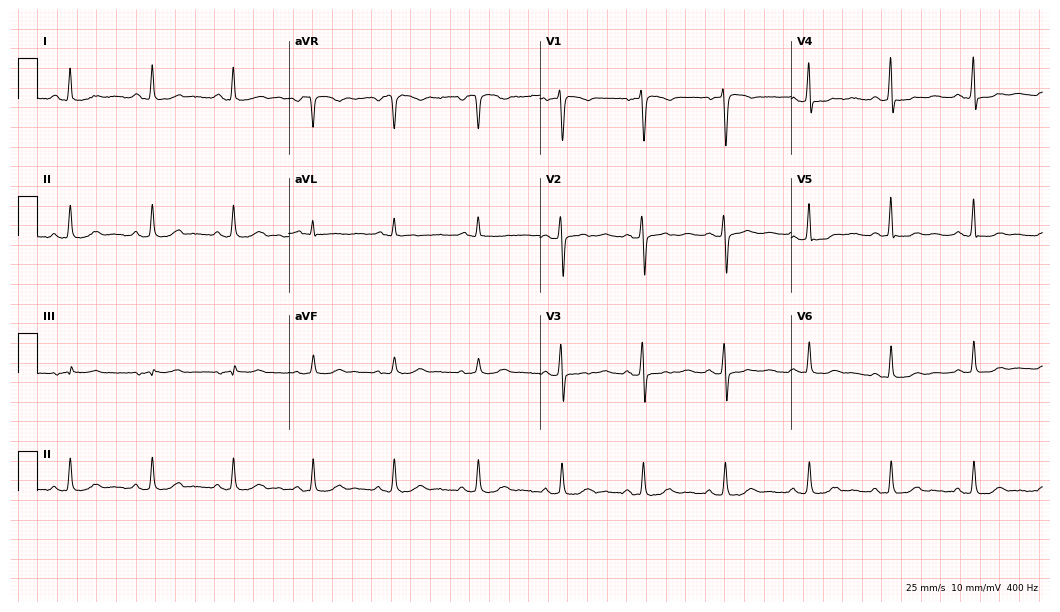
ECG (10.2-second recording at 400 Hz) — a female patient, 54 years old. Screened for six findings — first-degree AV block, right bundle branch block, left bundle branch block, sinus bradycardia, atrial fibrillation, sinus tachycardia — none is recorded. Findings outside these six are not listed.